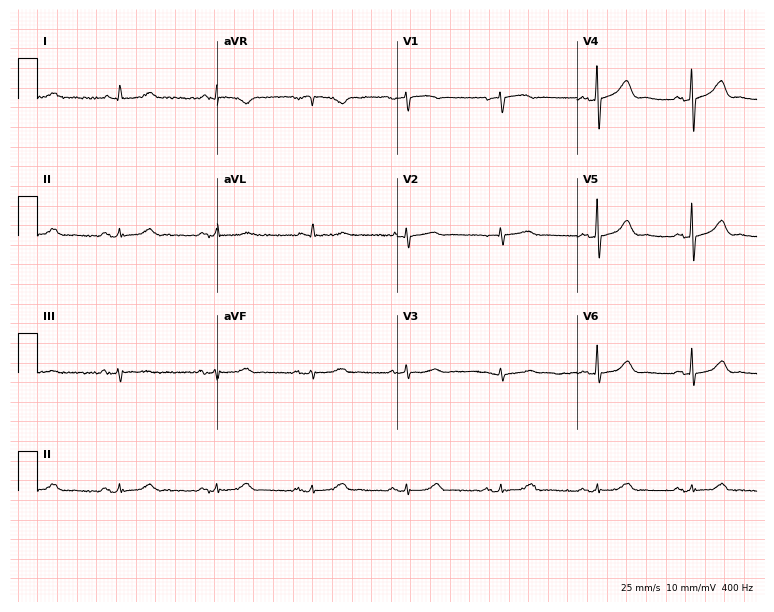
ECG (7.3-second recording at 400 Hz) — a woman, 83 years old. Screened for six findings — first-degree AV block, right bundle branch block (RBBB), left bundle branch block (LBBB), sinus bradycardia, atrial fibrillation (AF), sinus tachycardia — none is recorded. Only these six findings were labelled.